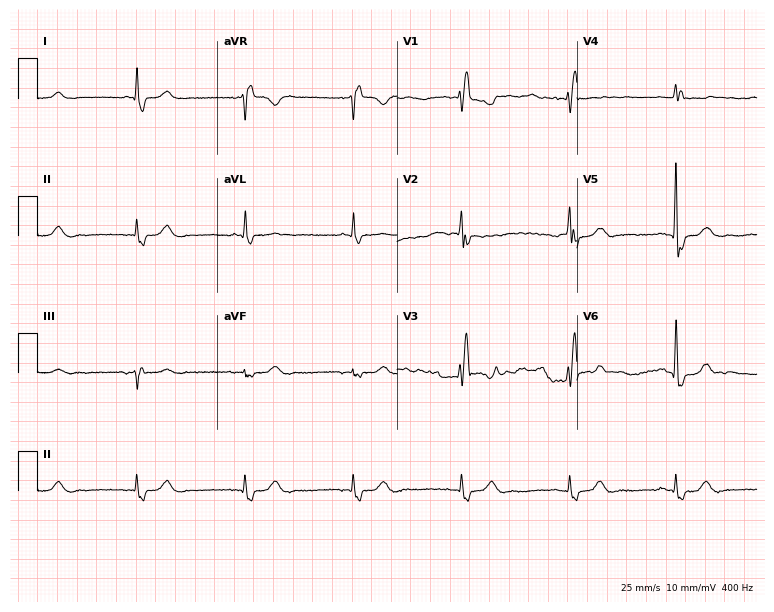
Resting 12-lead electrocardiogram (7.3-second recording at 400 Hz). Patient: a 79-year-old male. The tracing shows right bundle branch block (RBBB).